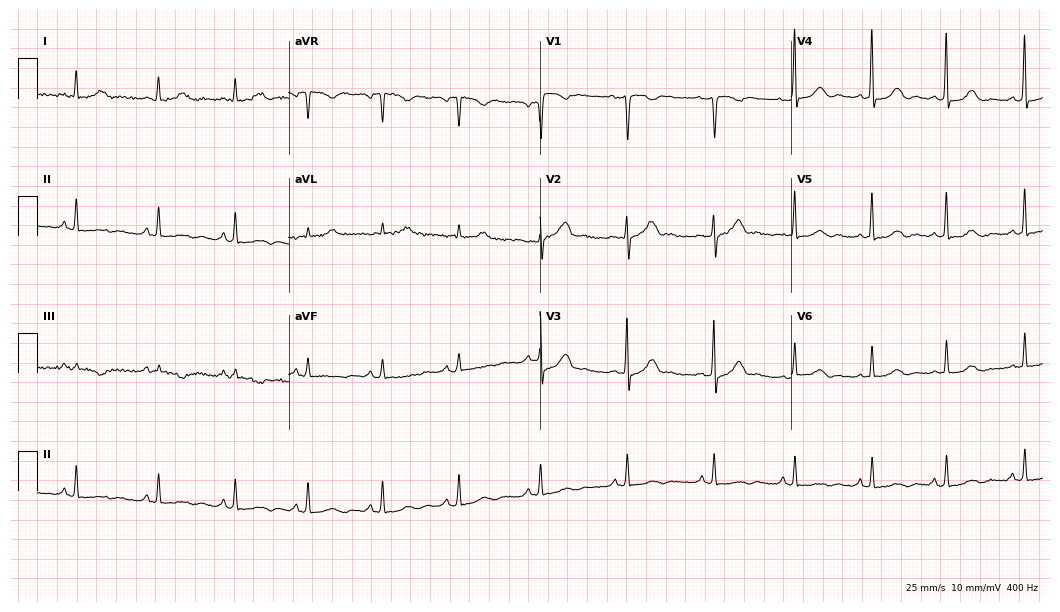
12-lead ECG (10.2-second recording at 400 Hz) from a 49-year-old female patient. Screened for six findings — first-degree AV block, right bundle branch block, left bundle branch block, sinus bradycardia, atrial fibrillation, sinus tachycardia — none is recorded. Findings outside these six are not listed.